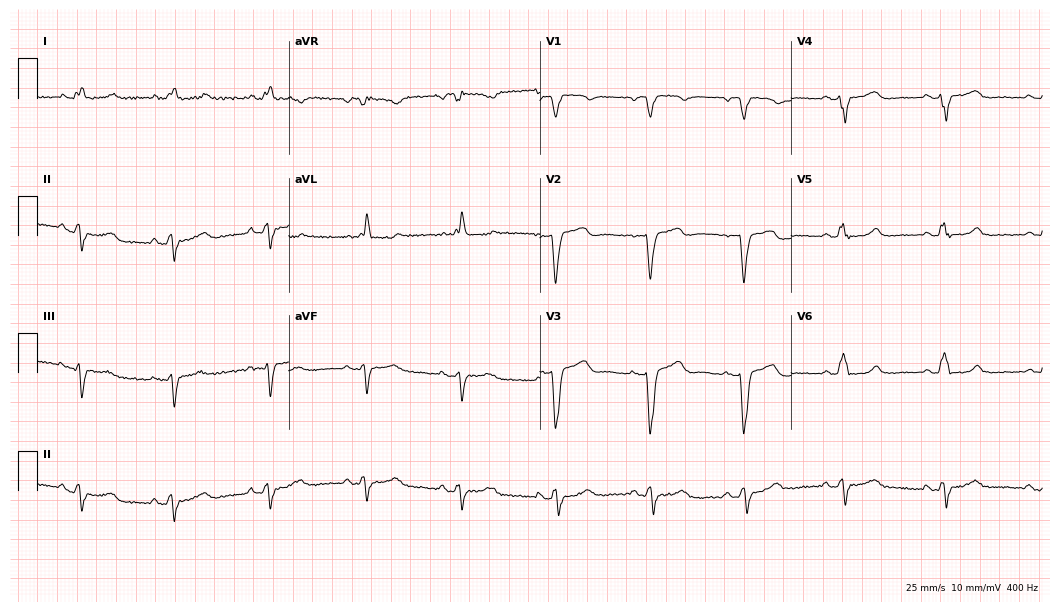
12-lead ECG from a 64-year-old female. Screened for six findings — first-degree AV block, right bundle branch block, left bundle branch block, sinus bradycardia, atrial fibrillation, sinus tachycardia — none is recorded. Findings outside these six are not listed.